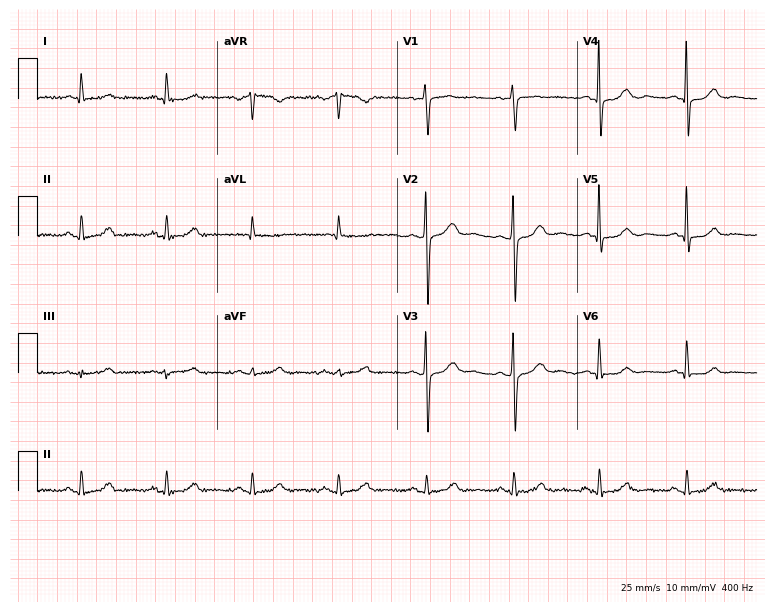
Standard 12-lead ECG recorded from a female patient, 69 years old (7.3-second recording at 400 Hz). Read as a normal ECG.